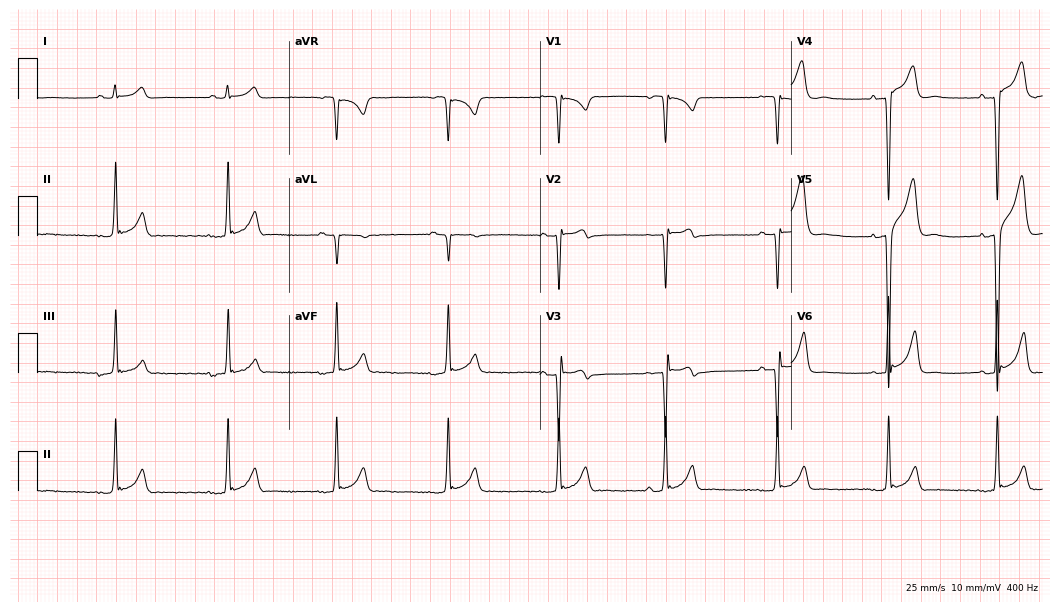
Standard 12-lead ECG recorded from a man, 20 years old. None of these six findings is recorded: first-degree AV block, right bundle branch block, left bundle branch block, sinus bradycardia, atrial fibrillation, sinus tachycardia. Other findings, if any, are not listed.